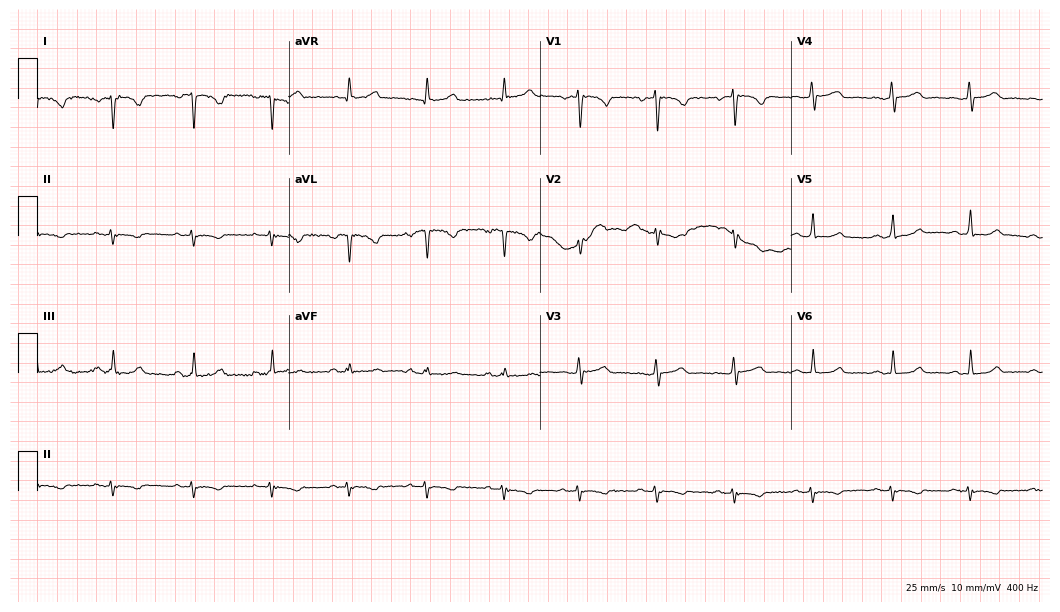
Electrocardiogram, a female patient, 25 years old. Of the six screened findings (first-degree AV block, right bundle branch block, left bundle branch block, sinus bradycardia, atrial fibrillation, sinus tachycardia), none is recorded. Only these six findings were labelled.